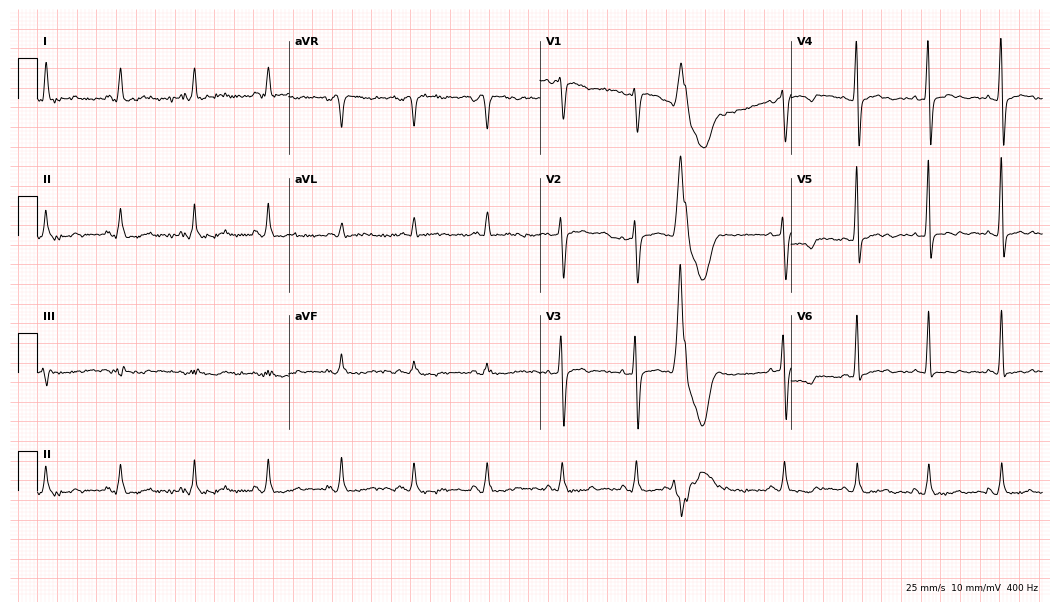
Standard 12-lead ECG recorded from a woman, 40 years old (10.2-second recording at 400 Hz). None of these six findings is recorded: first-degree AV block, right bundle branch block (RBBB), left bundle branch block (LBBB), sinus bradycardia, atrial fibrillation (AF), sinus tachycardia. Only these six findings were labelled.